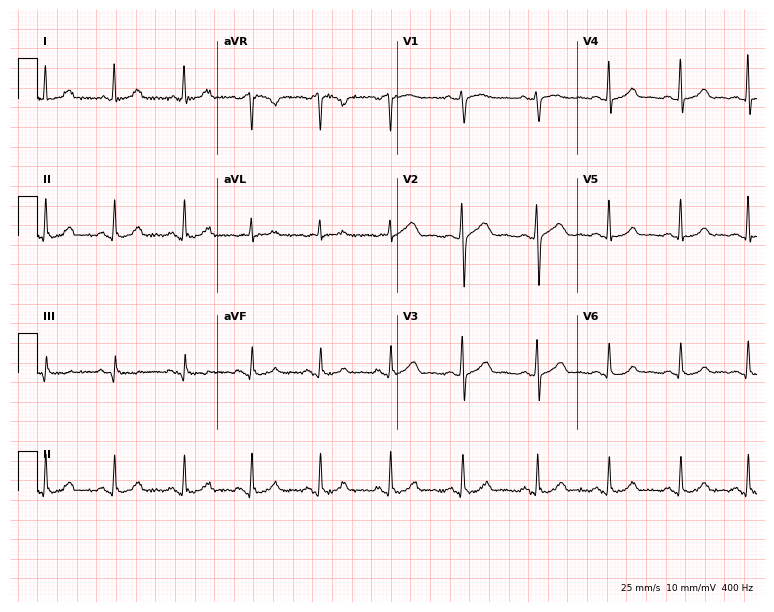
ECG (7.3-second recording at 400 Hz) — a woman, 44 years old. Labelled as a normal ECG.